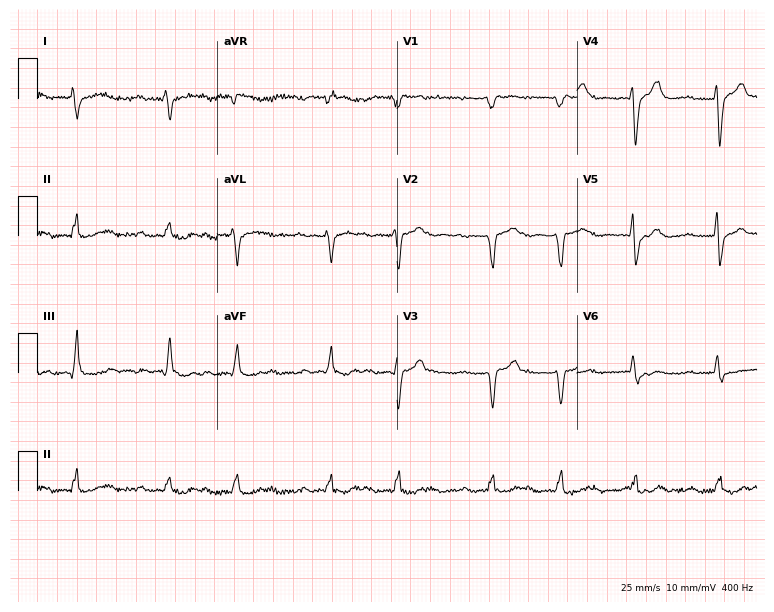
ECG (7.3-second recording at 400 Hz) — a woman, 57 years old. Screened for six findings — first-degree AV block, right bundle branch block (RBBB), left bundle branch block (LBBB), sinus bradycardia, atrial fibrillation (AF), sinus tachycardia — none is recorded.